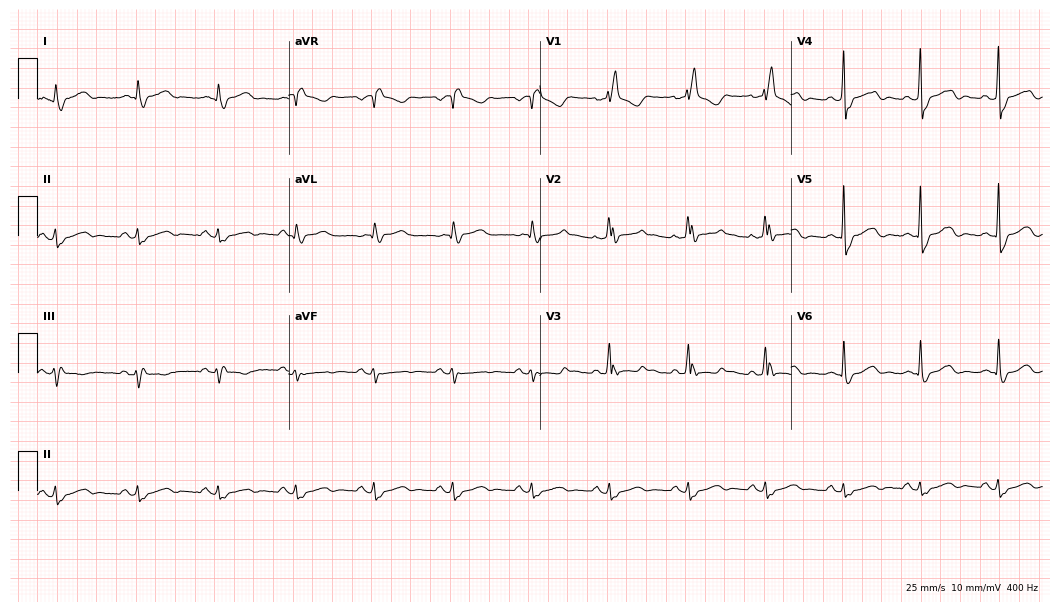
Standard 12-lead ECG recorded from a male patient, 59 years old. None of these six findings is recorded: first-degree AV block, right bundle branch block (RBBB), left bundle branch block (LBBB), sinus bradycardia, atrial fibrillation (AF), sinus tachycardia.